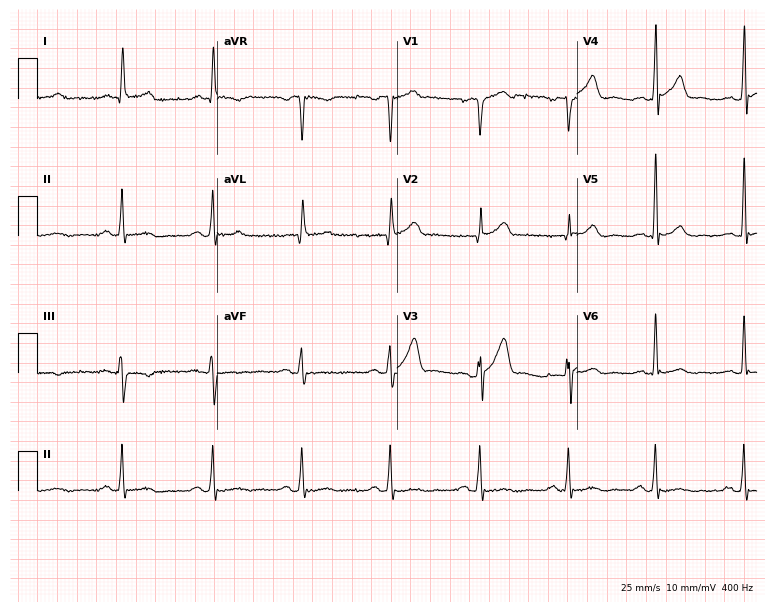
12-lead ECG from a man, 66 years old. No first-degree AV block, right bundle branch block, left bundle branch block, sinus bradycardia, atrial fibrillation or sinus tachycardia recorded for this tracing.